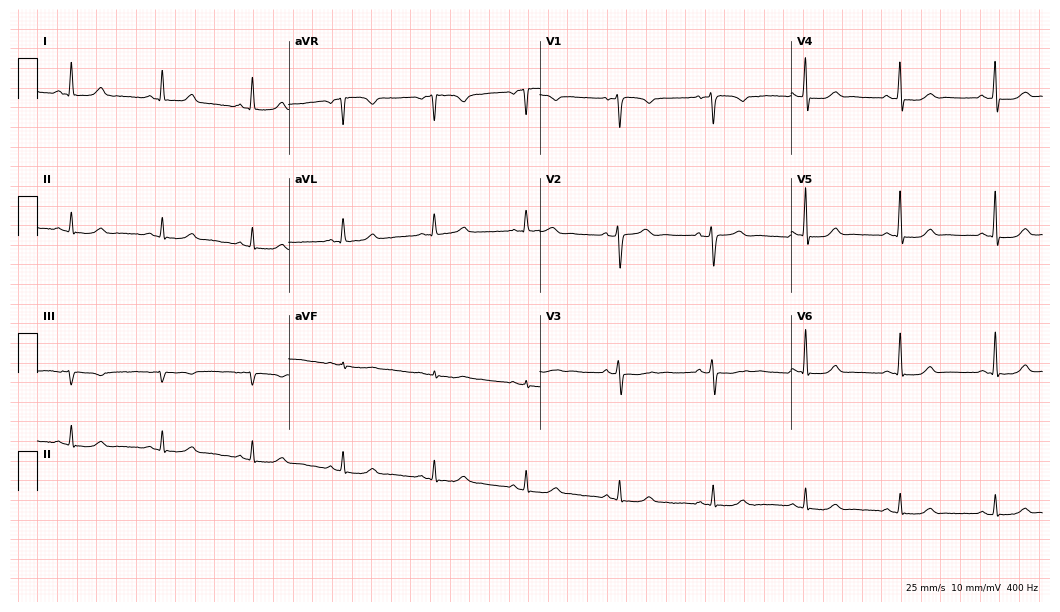
ECG — a 50-year-old female patient. Labelled as a normal ECG.